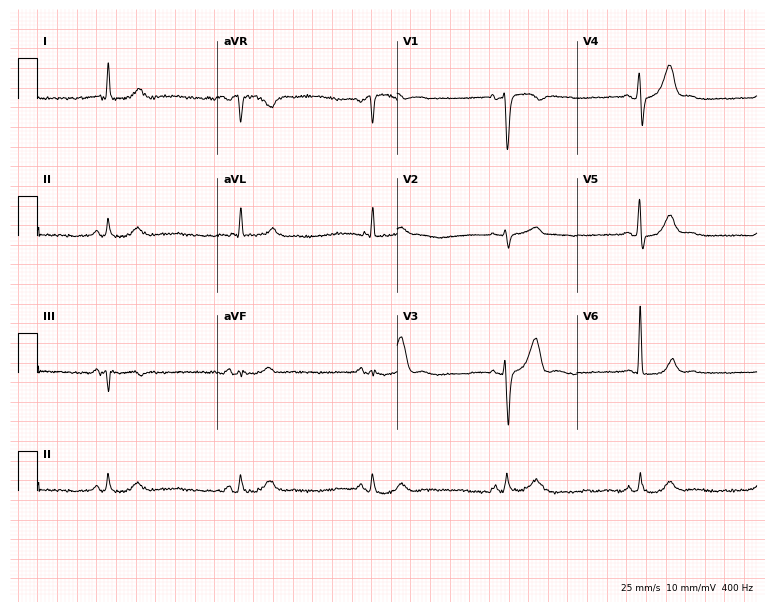
ECG — a 57-year-old male patient. Screened for six findings — first-degree AV block, right bundle branch block, left bundle branch block, sinus bradycardia, atrial fibrillation, sinus tachycardia — none is recorded. Findings outside these six are not listed.